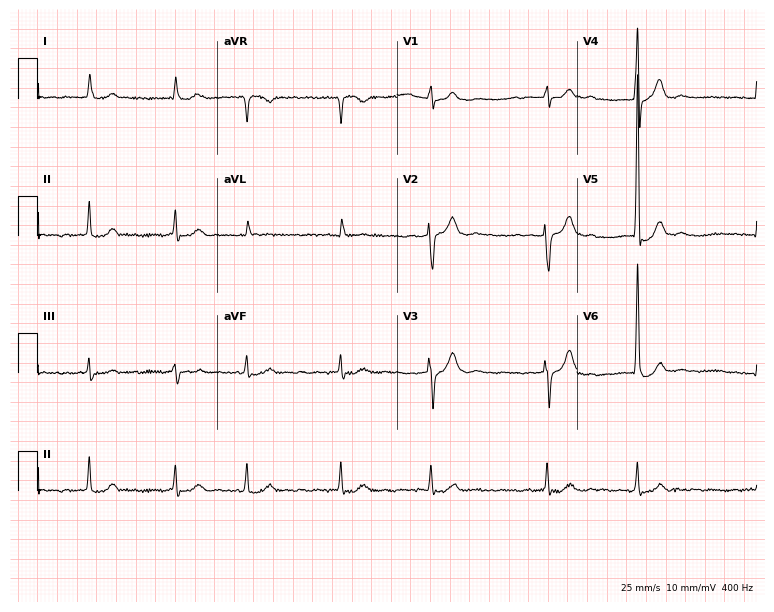
Standard 12-lead ECG recorded from a man, 75 years old (7.3-second recording at 400 Hz). The tracing shows atrial fibrillation.